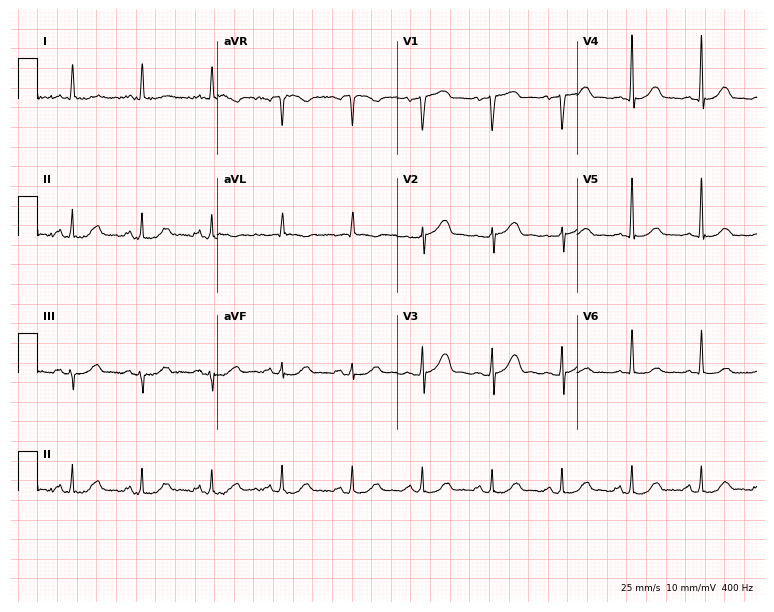
Resting 12-lead electrocardiogram (7.3-second recording at 400 Hz). Patient: a 78-year-old woman. None of these six findings is recorded: first-degree AV block, right bundle branch block, left bundle branch block, sinus bradycardia, atrial fibrillation, sinus tachycardia. Only these six findings were labelled.